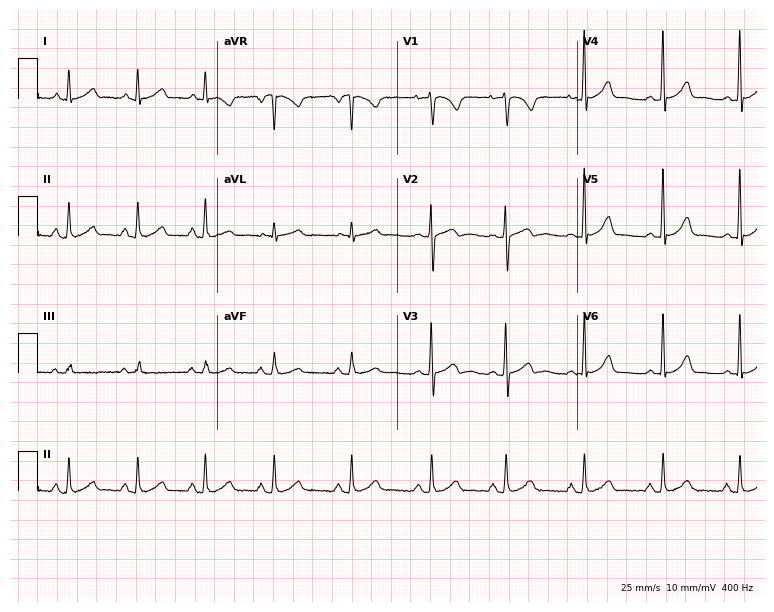
12-lead ECG from a 27-year-old female. No first-degree AV block, right bundle branch block, left bundle branch block, sinus bradycardia, atrial fibrillation or sinus tachycardia recorded for this tracing.